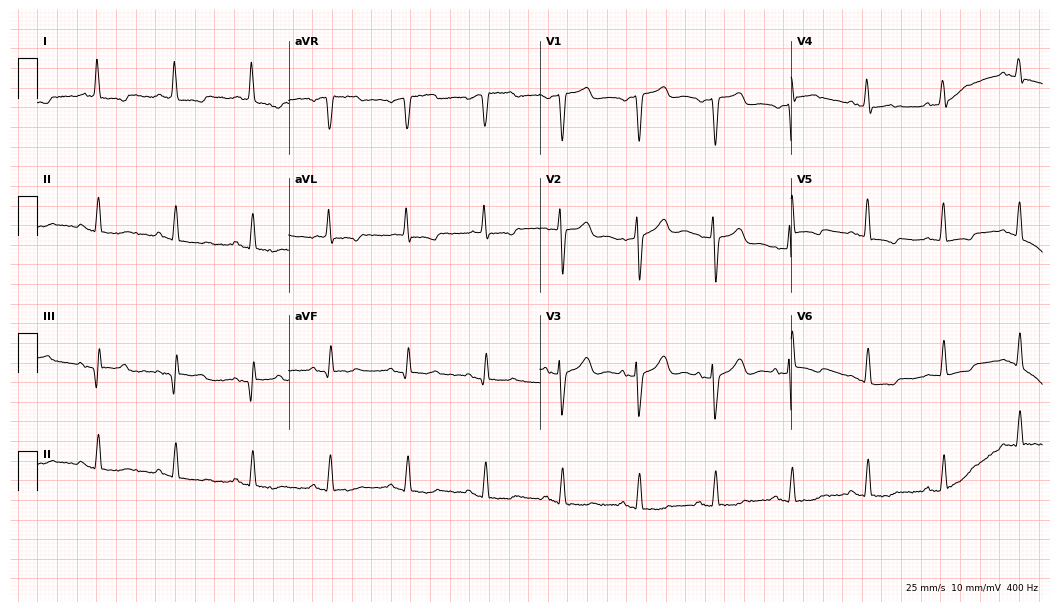
12-lead ECG (10.2-second recording at 400 Hz) from an 83-year-old female patient. Screened for six findings — first-degree AV block, right bundle branch block, left bundle branch block, sinus bradycardia, atrial fibrillation, sinus tachycardia — none is recorded.